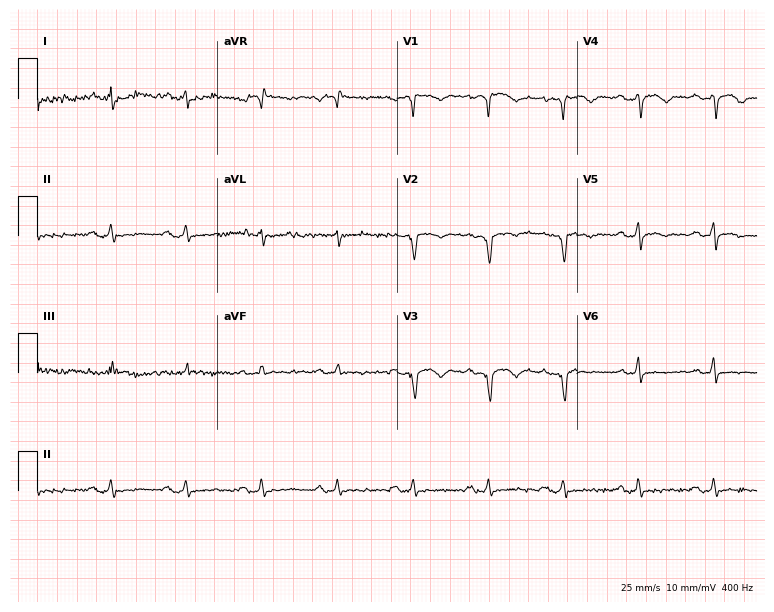
Electrocardiogram (7.3-second recording at 400 Hz), a 52-year-old male patient. Of the six screened findings (first-degree AV block, right bundle branch block (RBBB), left bundle branch block (LBBB), sinus bradycardia, atrial fibrillation (AF), sinus tachycardia), none is recorded. Other findings, if any, are not listed.